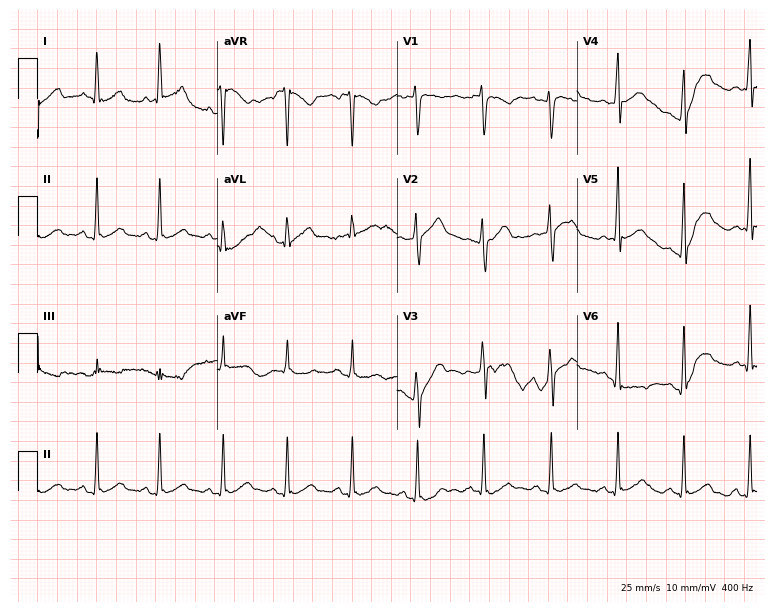
Standard 12-lead ECG recorded from a man, 31 years old. None of these six findings is recorded: first-degree AV block, right bundle branch block, left bundle branch block, sinus bradycardia, atrial fibrillation, sinus tachycardia.